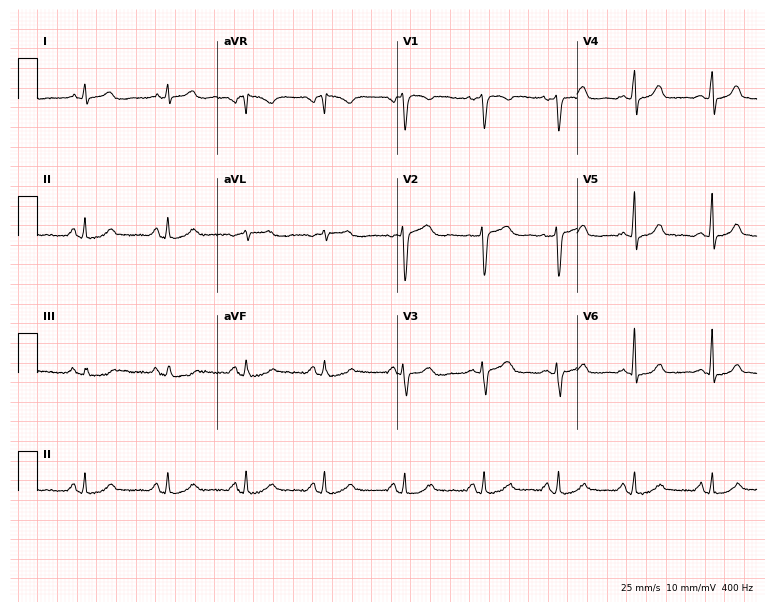
12-lead ECG (7.3-second recording at 400 Hz) from a 39-year-old woman. Labelled as a normal ECG.